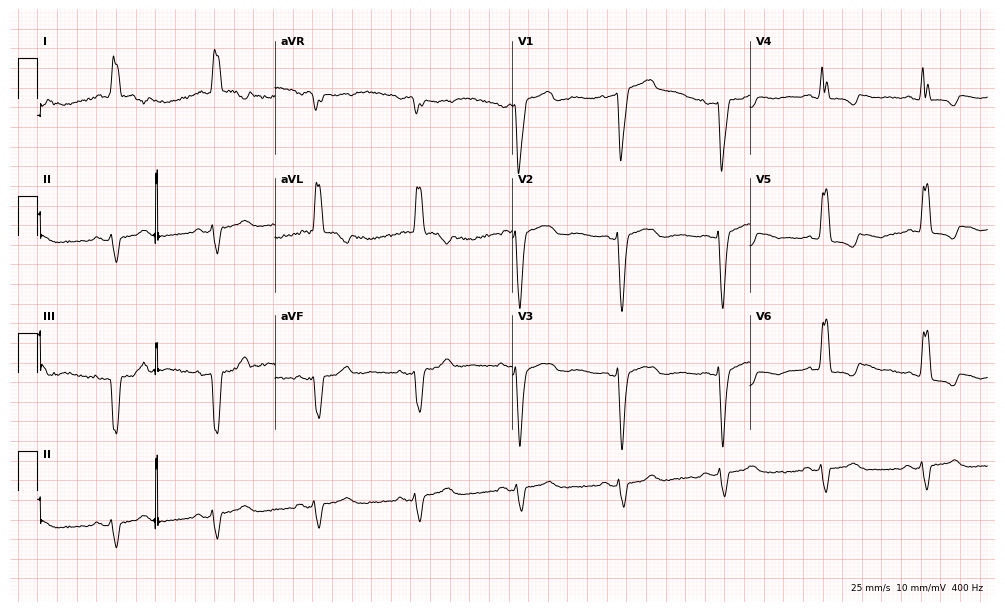
Resting 12-lead electrocardiogram (9.7-second recording at 400 Hz). Patient: an 81-year-old female. None of these six findings is recorded: first-degree AV block, right bundle branch block, left bundle branch block, sinus bradycardia, atrial fibrillation, sinus tachycardia. Findings outside these six are not listed.